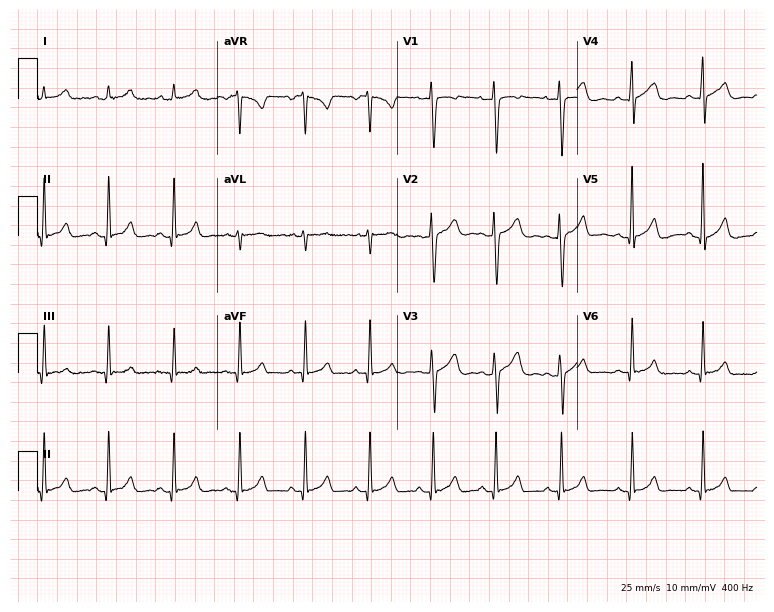
Electrocardiogram (7.3-second recording at 400 Hz), a female patient, 21 years old. Of the six screened findings (first-degree AV block, right bundle branch block, left bundle branch block, sinus bradycardia, atrial fibrillation, sinus tachycardia), none is recorded.